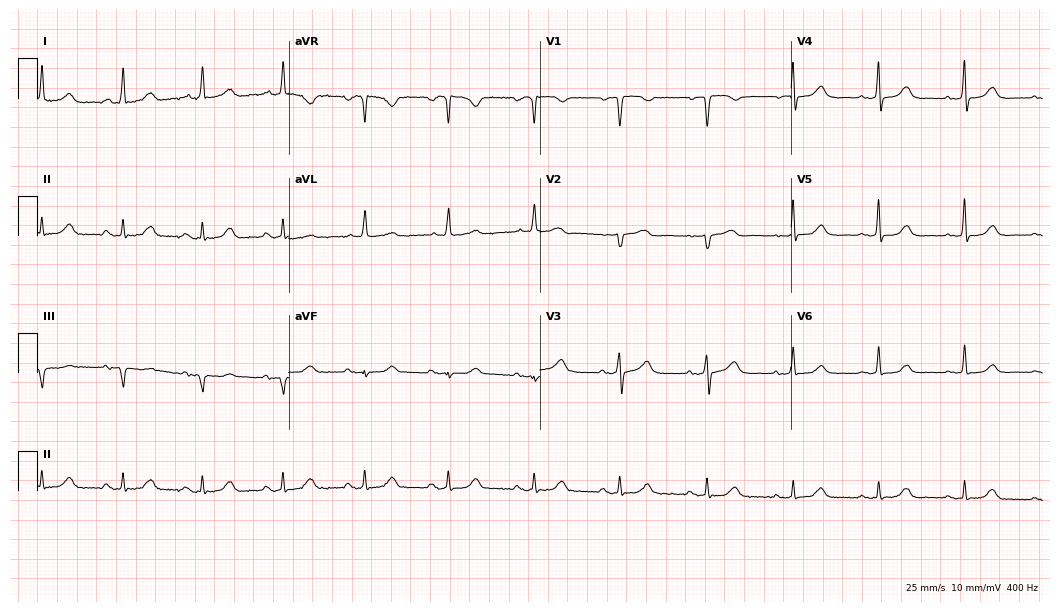
Resting 12-lead electrocardiogram (10.2-second recording at 400 Hz). Patient: a 60-year-old female. Read as a normal ECG.